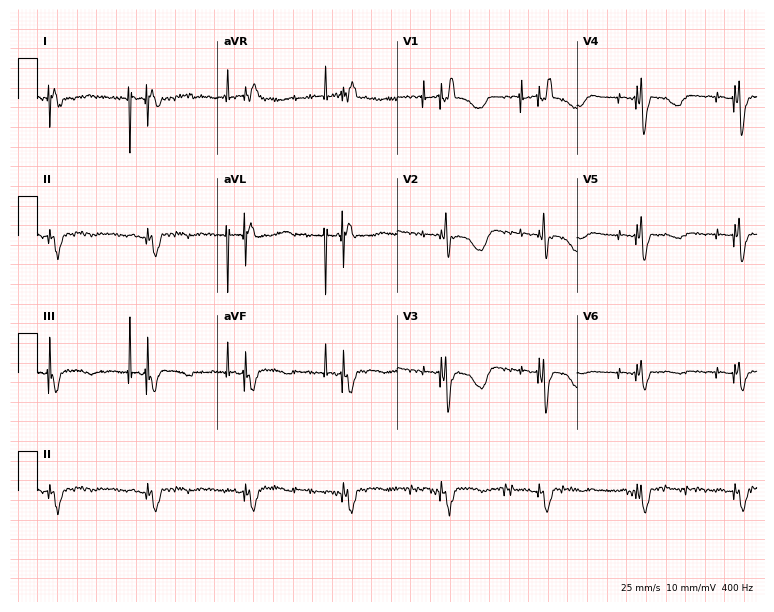
Resting 12-lead electrocardiogram. Patient: an 83-year-old female. None of these six findings is recorded: first-degree AV block, right bundle branch block, left bundle branch block, sinus bradycardia, atrial fibrillation, sinus tachycardia.